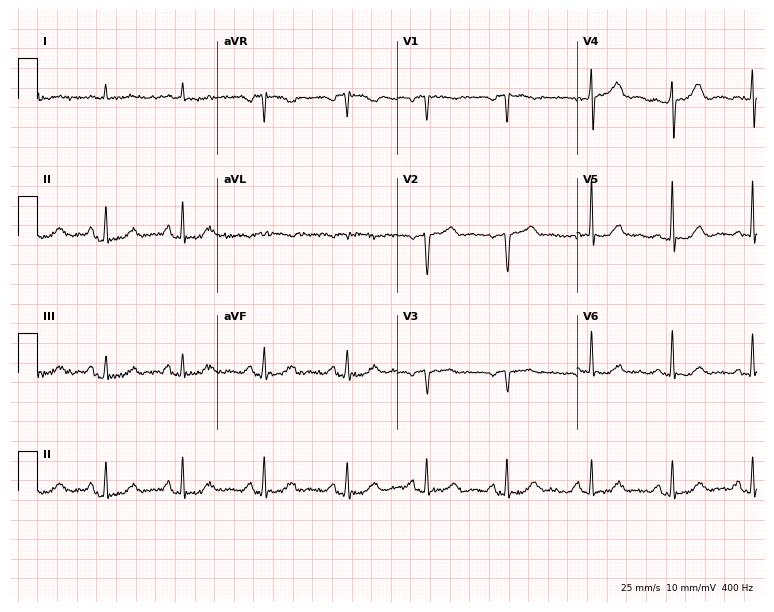
Standard 12-lead ECG recorded from a 74-year-old male (7.3-second recording at 400 Hz). None of these six findings is recorded: first-degree AV block, right bundle branch block, left bundle branch block, sinus bradycardia, atrial fibrillation, sinus tachycardia. Only these six findings were labelled.